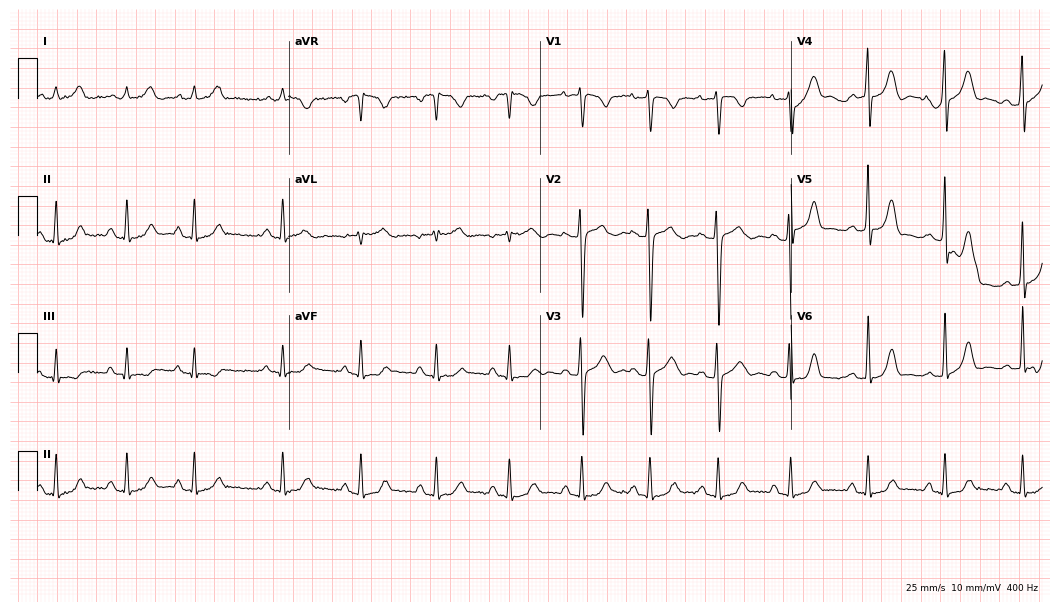
Electrocardiogram (10.2-second recording at 400 Hz), a 22-year-old woman. Overall reading on record: normal ECG.